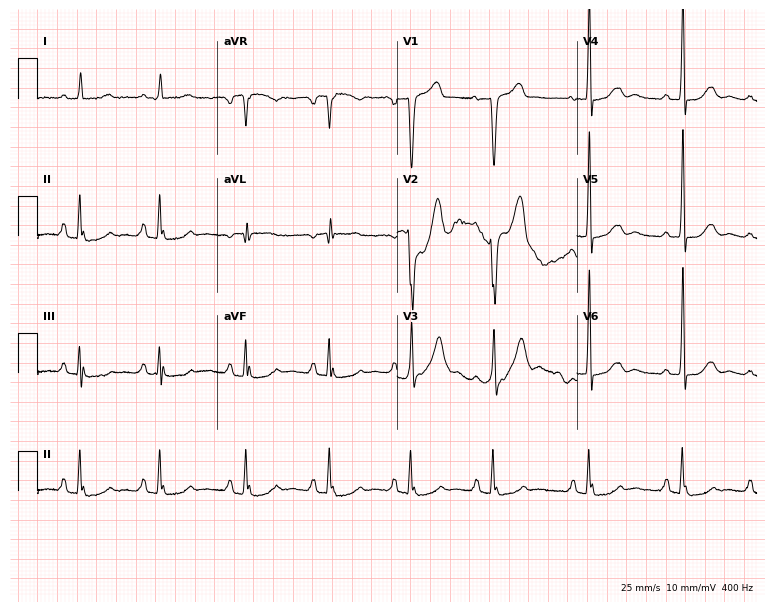
Electrocardiogram (7.3-second recording at 400 Hz), a male, 72 years old. Of the six screened findings (first-degree AV block, right bundle branch block, left bundle branch block, sinus bradycardia, atrial fibrillation, sinus tachycardia), none is recorded. Other findings, if any, are not listed.